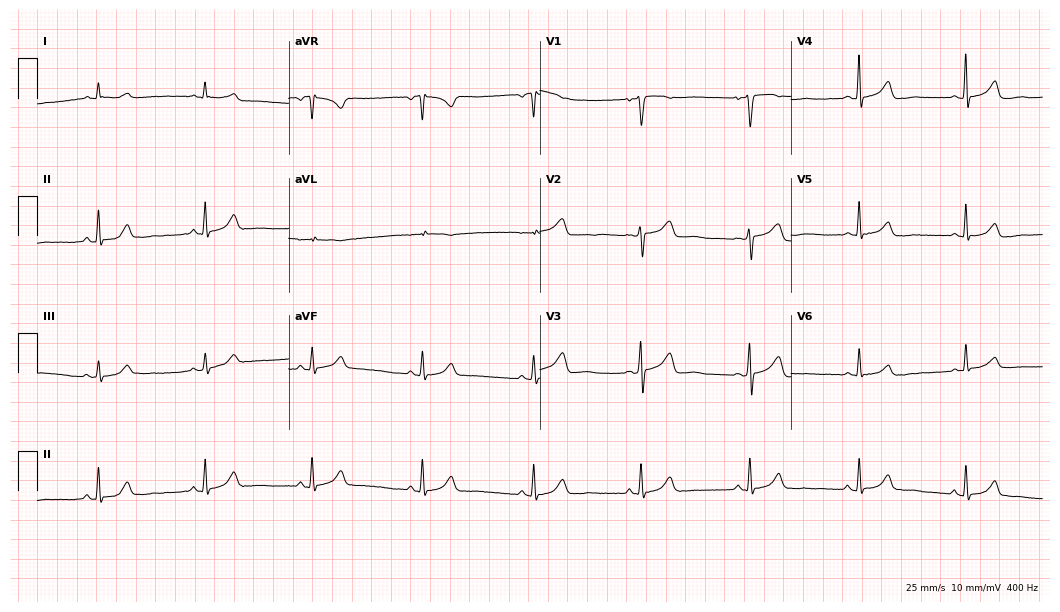
12-lead ECG from a 44-year-old female patient. Recorded interpretation: within normal limits.